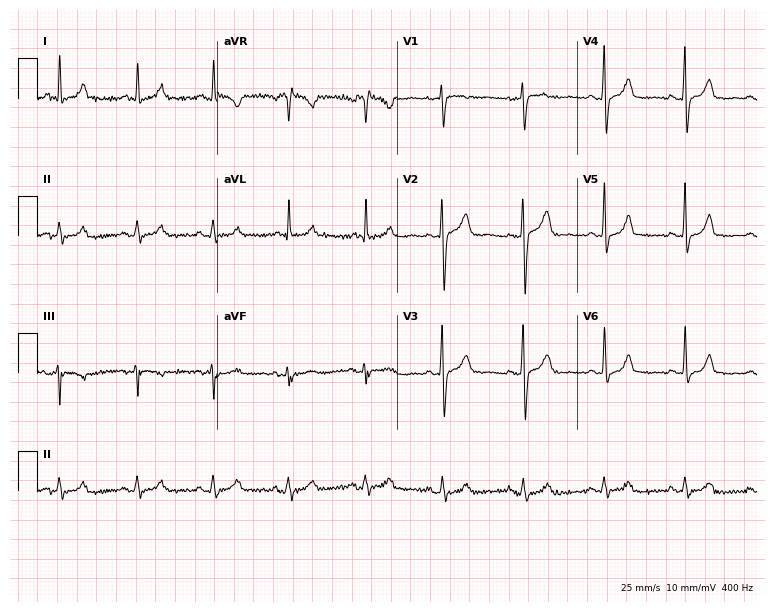
12-lead ECG from a 56-year-old woman. Screened for six findings — first-degree AV block, right bundle branch block, left bundle branch block, sinus bradycardia, atrial fibrillation, sinus tachycardia — none is recorded.